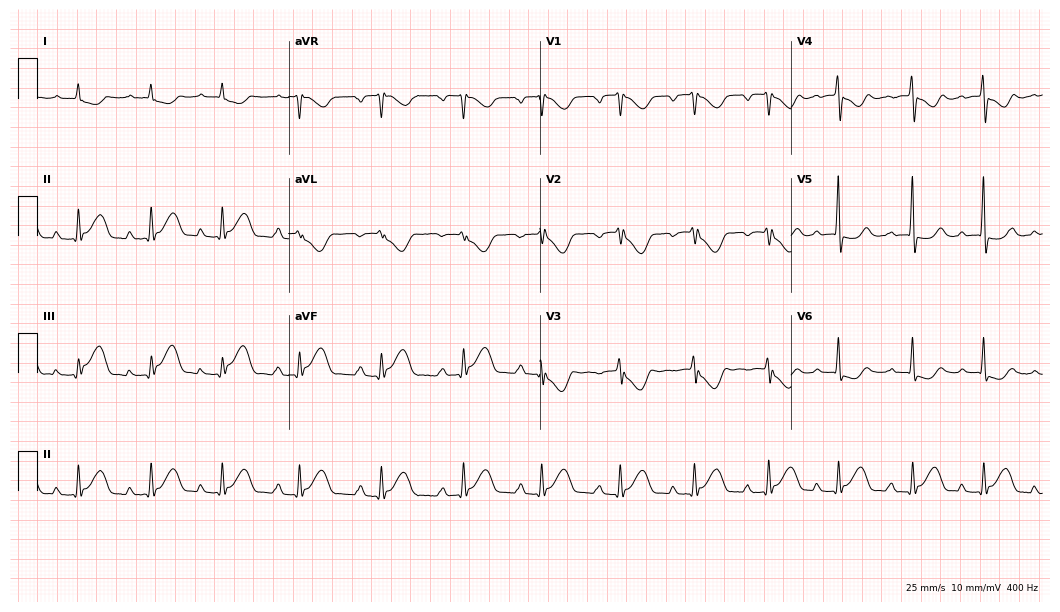
12-lead ECG from a man, 82 years old. Screened for six findings — first-degree AV block, right bundle branch block (RBBB), left bundle branch block (LBBB), sinus bradycardia, atrial fibrillation (AF), sinus tachycardia — none is recorded. Only these six findings were labelled.